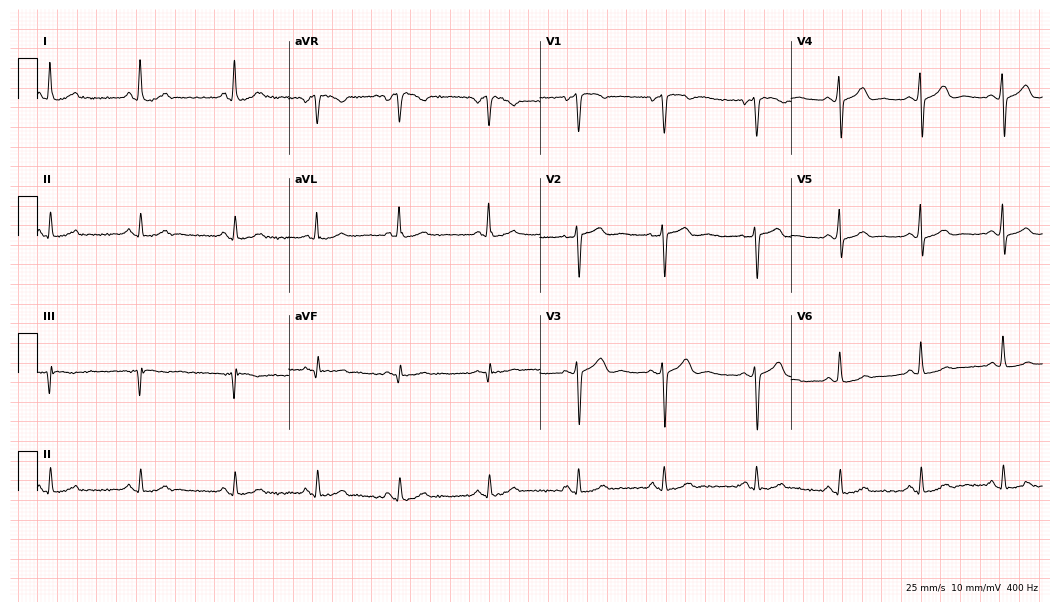
12-lead ECG from a 41-year-old female. Labelled as a normal ECG.